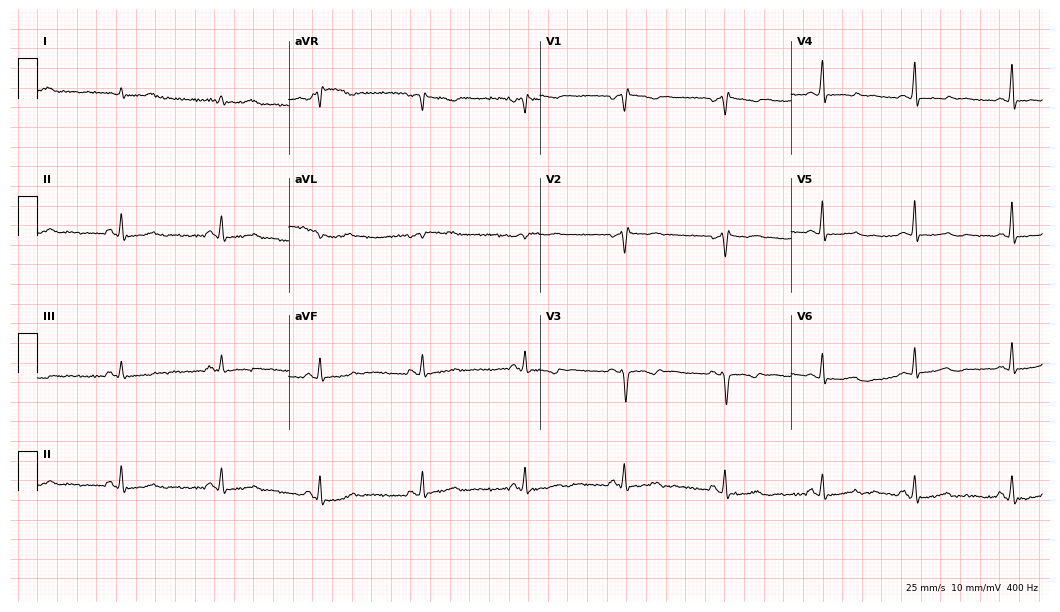
12-lead ECG from a 37-year-old female. No first-degree AV block, right bundle branch block, left bundle branch block, sinus bradycardia, atrial fibrillation or sinus tachycardia recorded for this tracing. Findings outside these six are not listed.